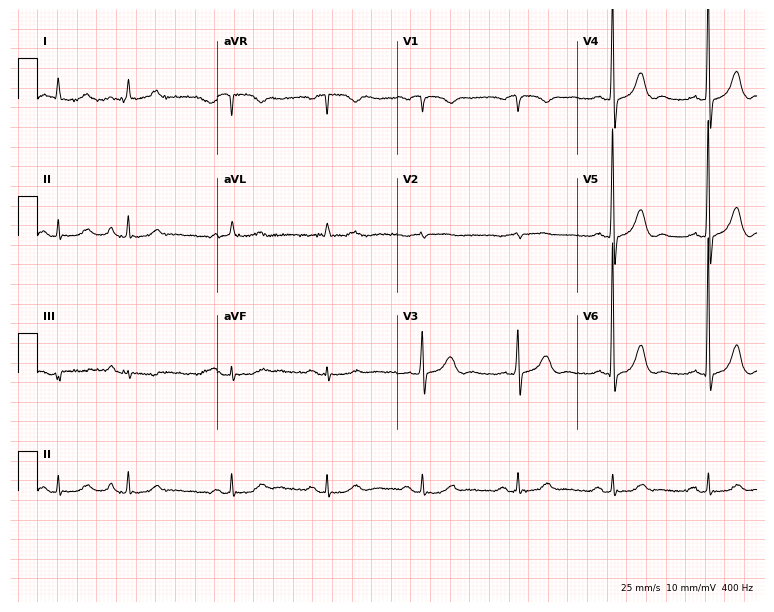
12-lead ECG (7.3-second recording at 400 Hz) from a 74-year-old man. Screened for six findings — first-degree AV block, right bundle branch block (RBBB), left bundle branch block (LBBB), sinus bradycardia, atrial fibrillation (AF), sinus tachycardia — none is recorded.